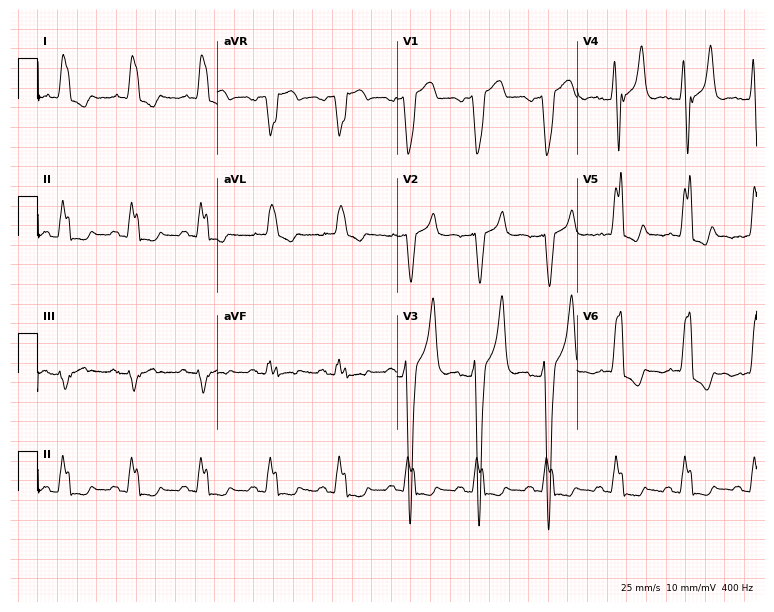
12-lead ECG from an 81-year-old male. Shows left bundle branch block.